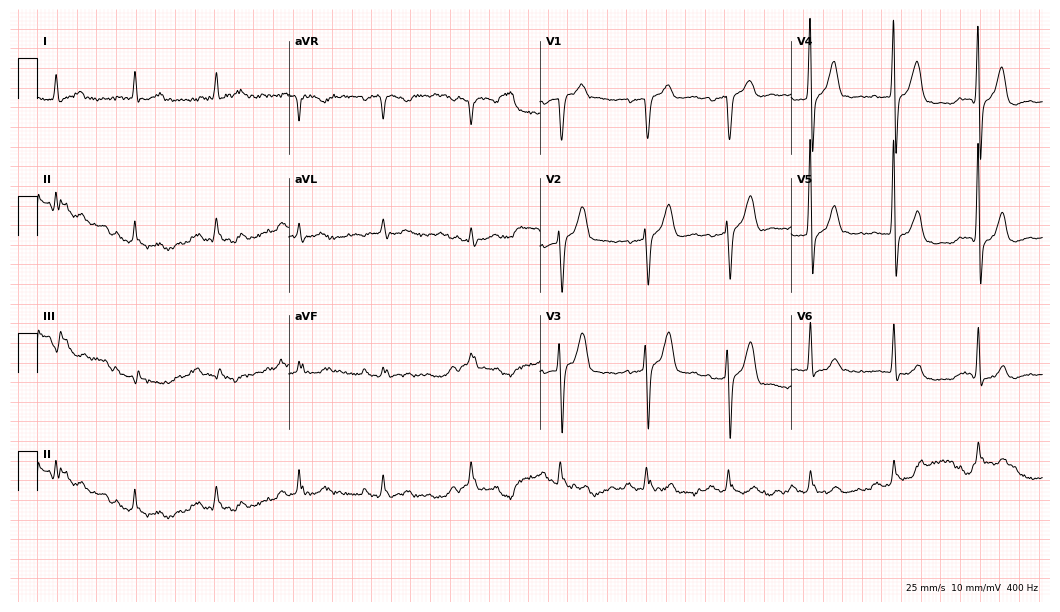
Standard 12-lead ECG recorded from a male patient, 73 years old. Read as a normal ECG.